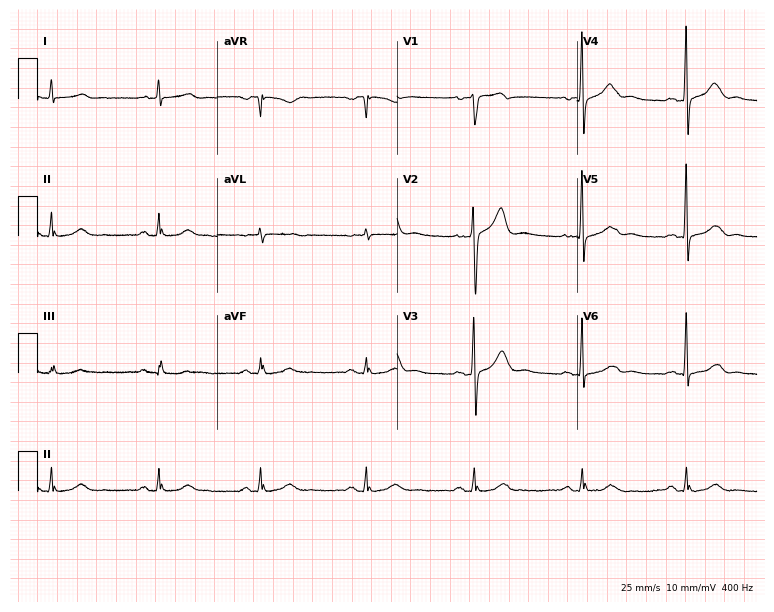
12-lead ECG from a male, 56 years old (7.3-second recording at 400 Hz). Recorded interpretation: within normal limits.